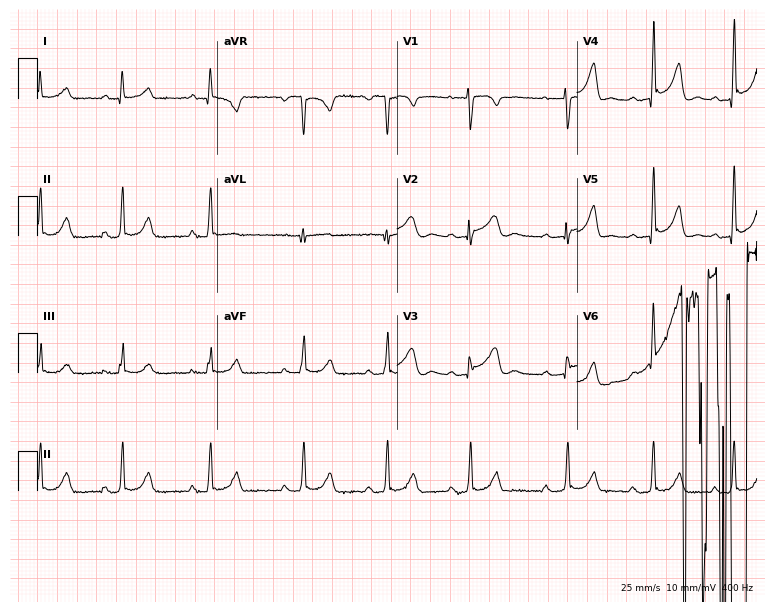
12-lead ECG (7.3-second recording at 400 Hz) from a female patient, 17 years old. Labelled as a normal ECG.